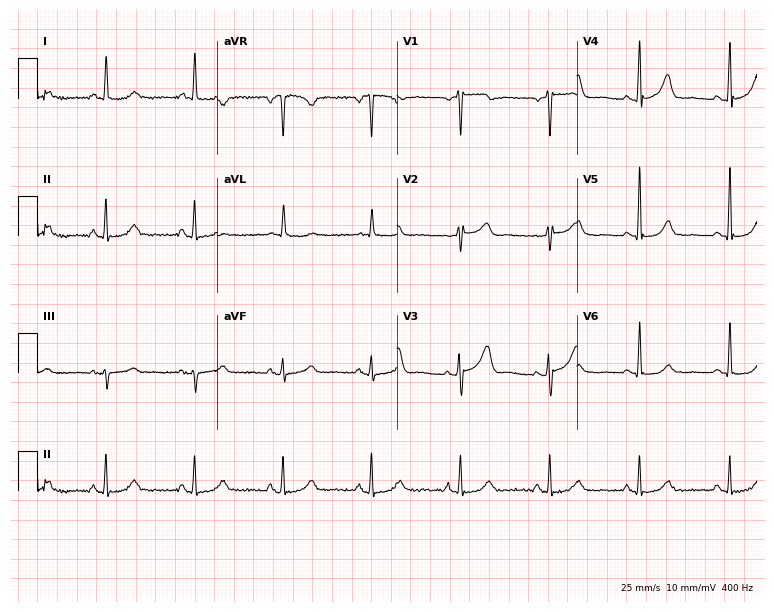
12-lead ECG from a 71-year-old female. Recorded interpretation: within normal limits.